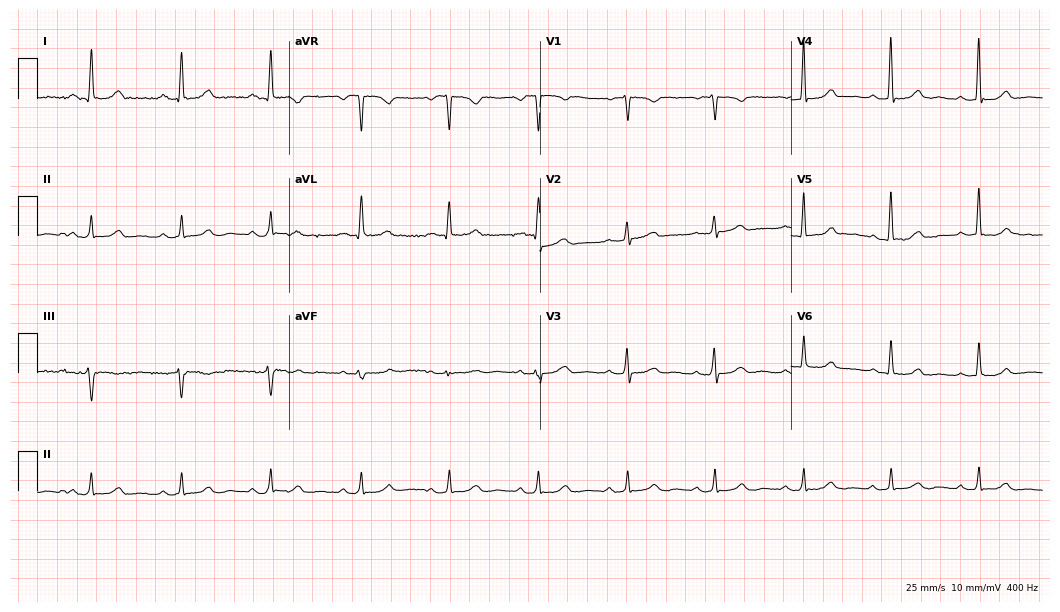
12-lead ECG from a woman, 49 years old (10.2-second recording at 400 Hz). No first-degree AV block, right bundle branch block, left bundle branch block, sinus bradycardia, atrial fibrillation or sinus tachycardia recorded for this tracing. Only these six findings were labelled.